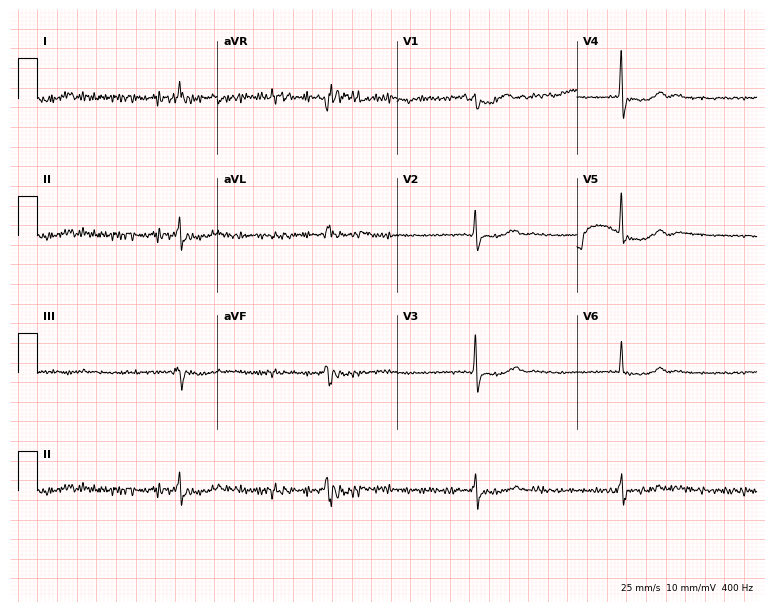
Standard 12-lead ECG recorded from an 80-year-old woman (7.3-second recording at 400 Hz). None of these six findings is recorded: first-degree AV block, right bundle branch block (RBBB), left bundle branch block (LBBB), sinus bradycardia, atrial fibrillation (AF), sinus tachycardia. Other findings, if any, are not listed.